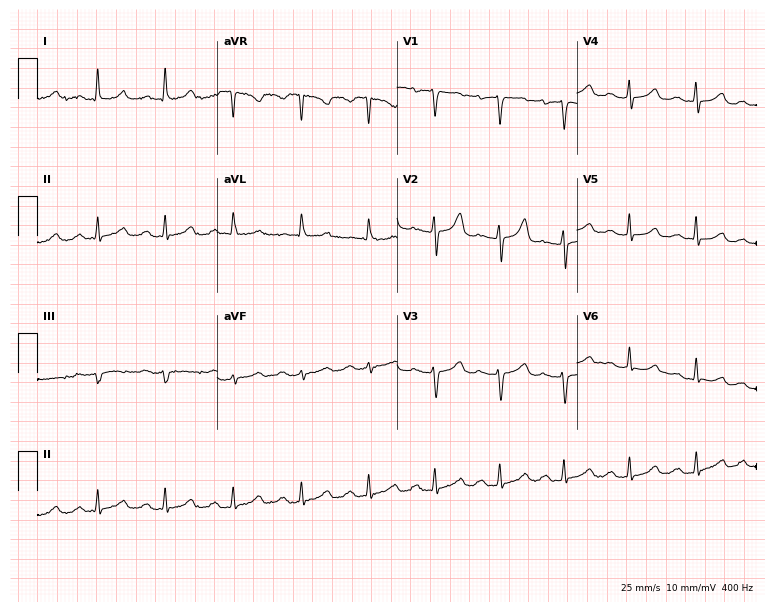
12-lead ECG (7.3-second recording at 400 Hz) from a 78-year-old woman. Screened for six findings — first-degree AV block, right bundle branch block, left bundle branch block, sinus bradycardia, atrial fibrillation, sinus tachycardia — none is recorded. Findings outside these six are not listed.